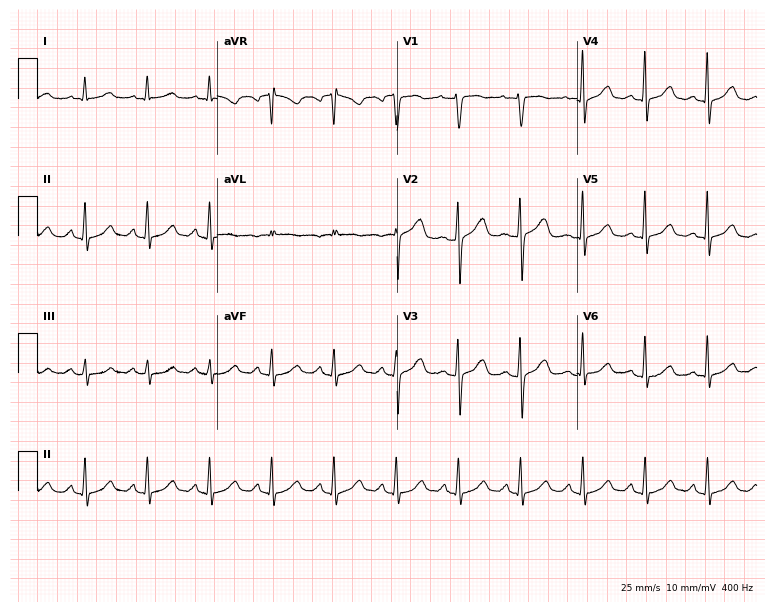
Standard 12-lead ECG recorded from a 57-year-old female (7.3-second recording at 400 Hz). None of these six findings is recorded: first-degree AV block, right bundle branch block, left bundle branch block, sinus bradycardia, atrial fibrillation, sinus tachycardia. Only these six findings were labelled.